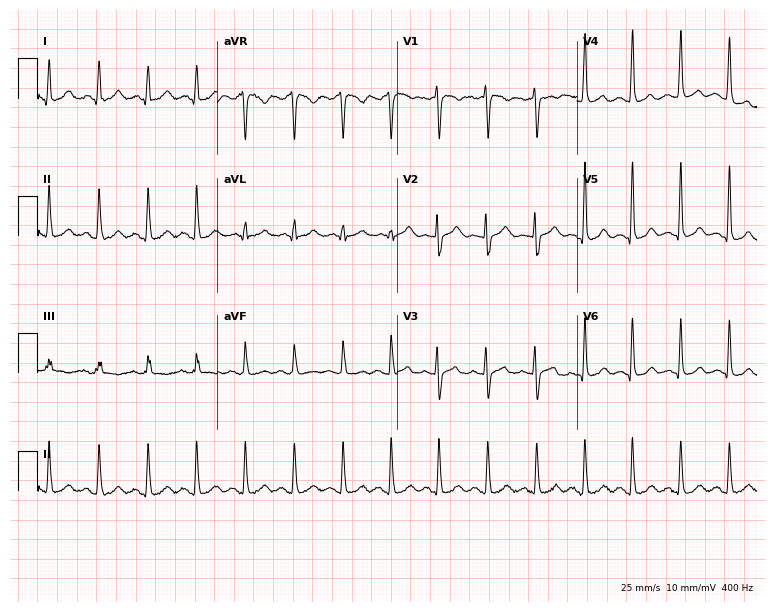
Resting 12-lead electrocardiogram. Patient: a female, 25 years old. The tracing shows sinus tachycardia (a sinus rate of 100 beats per minute or more).